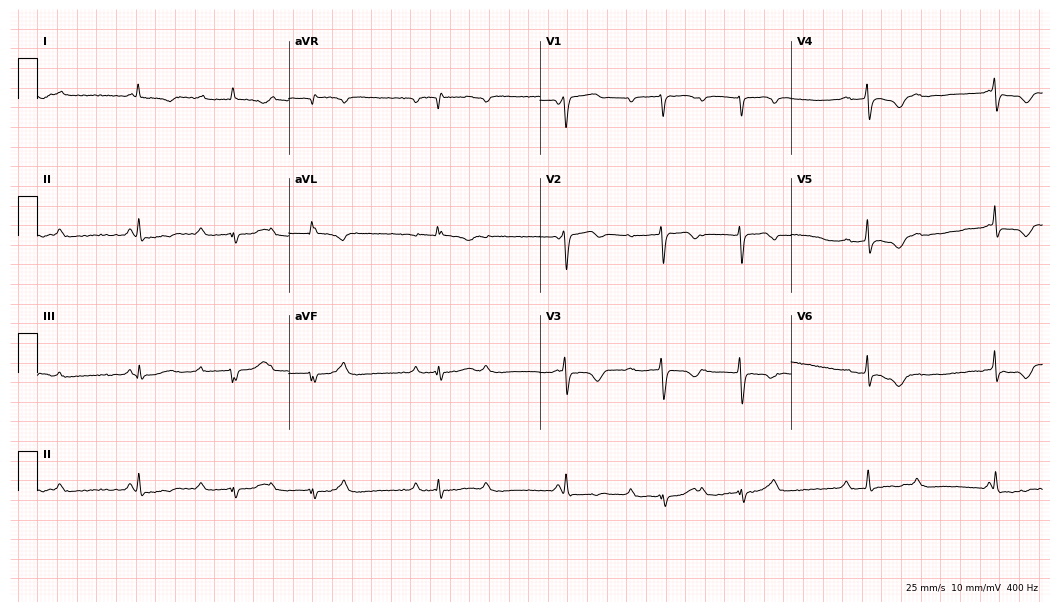
12-lead ECG from a man, 82 years old. No first-degree AV block, right bundle branch block (RBBB), left bundle branch block (LBBB), sinus bradycardia, atrial fibrillation (AF) or sinus tachycardia recorded for this tracing.